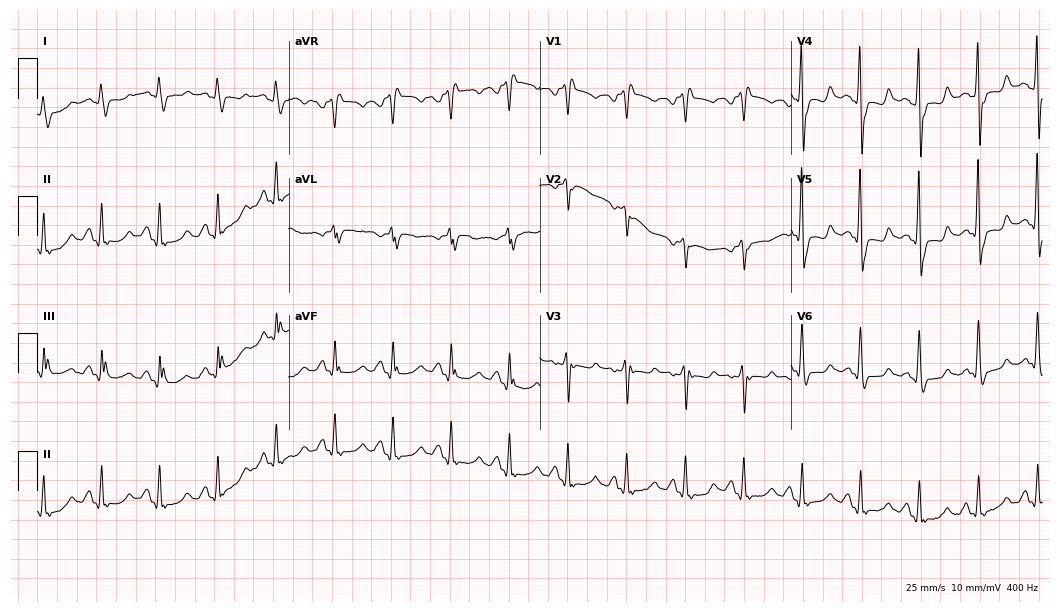
12-lead ECG from a female, 78 years old (10.2-second recording at 400 Hz). Shows right bundle branch block (RBBB), sinus tachycardia (a sinus rate of 100 beats per minute or more).